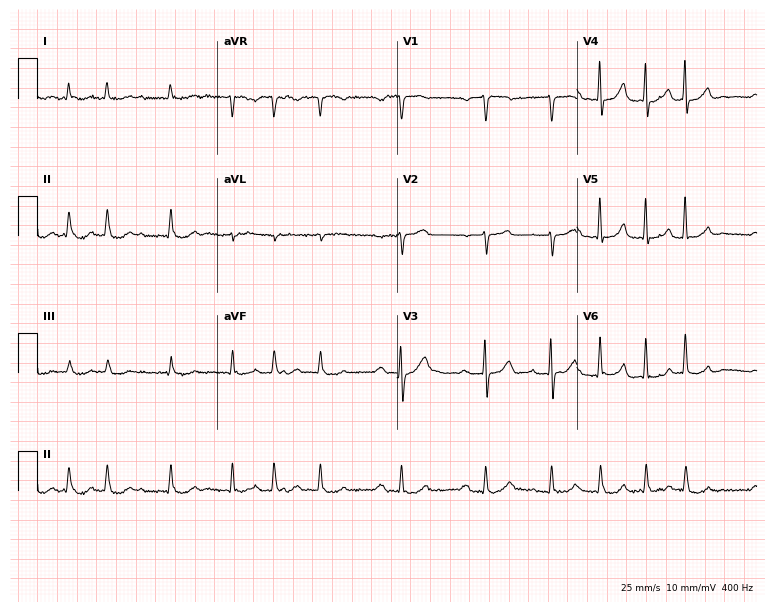
ECG — a 79-year-old male. Findings include atrial fibrillation.